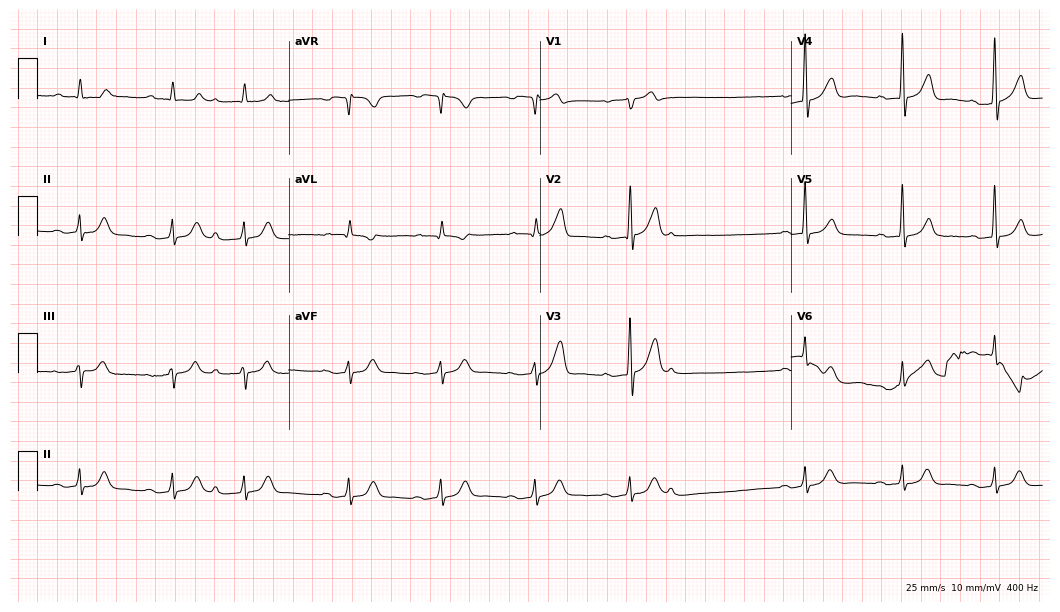
12-lead ECG (10.2-second recording at 400 Hz) from a male, 84 years old. Findings include first-degree AV block.